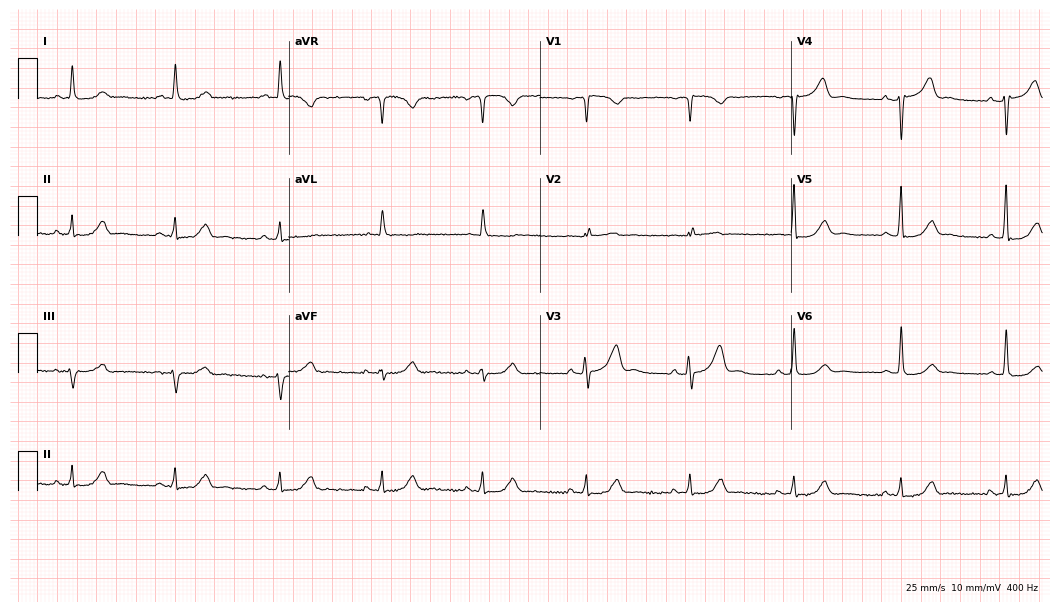
ECG (10.2-second recording at 400 Hz) — a female, 52 years old. Labelled as a normal ECG.